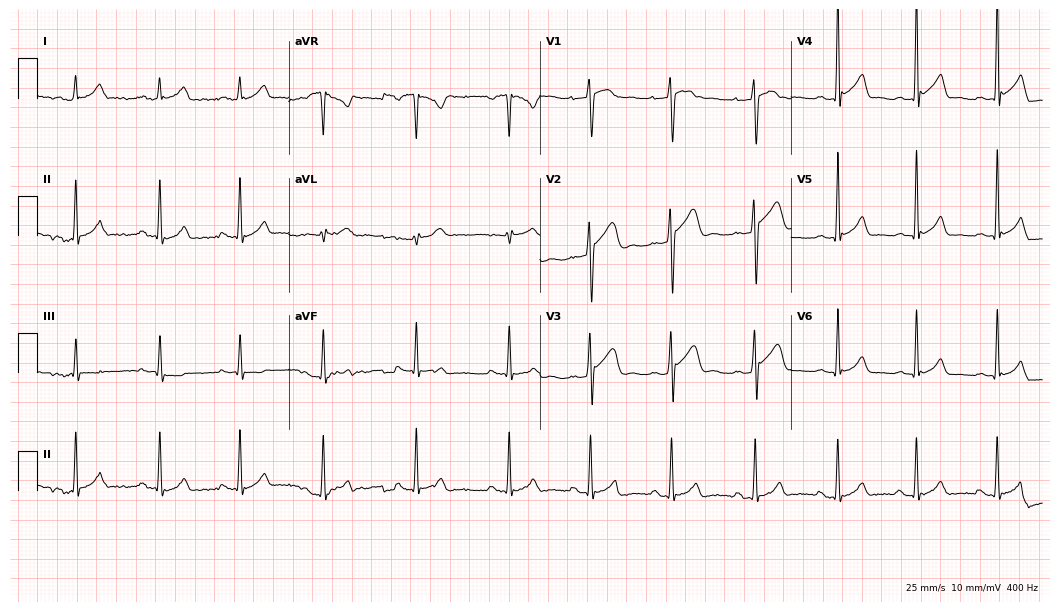
Electrocardiogram, a male patient, 19 years old. Of the six screened findings (first-degree AV block, right bundle branch block, left bundle branch block, sinus bradycardia, atrial fibrillation, sinus tachycardia), none is recorded. Only these six findings were labelled.